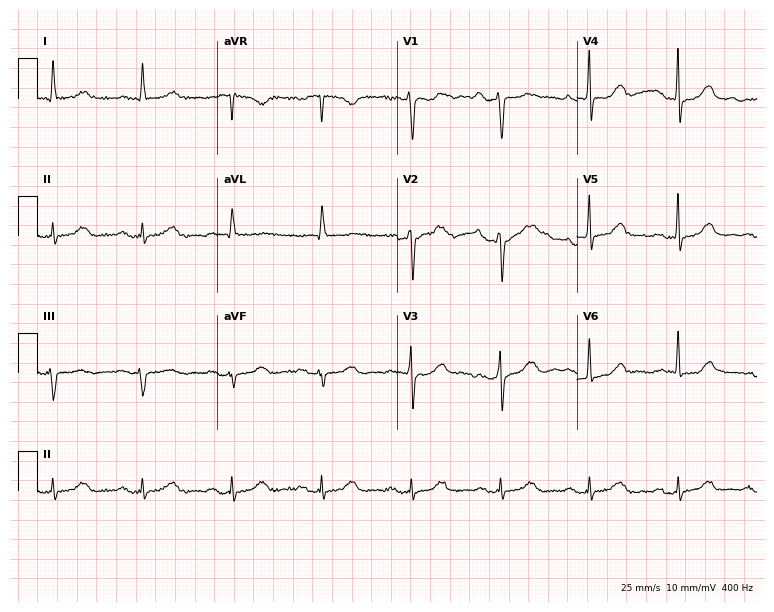
Resting 12-lead electrocardiogram. Patient: a male, 80 years old. None of these six findings is recorded: first-degree AV block, right bundle branch block, left bundle branch block, sinus bradycardia, atrial fibrillation, sinus tachycardia. Other findings, if any, are not listed.